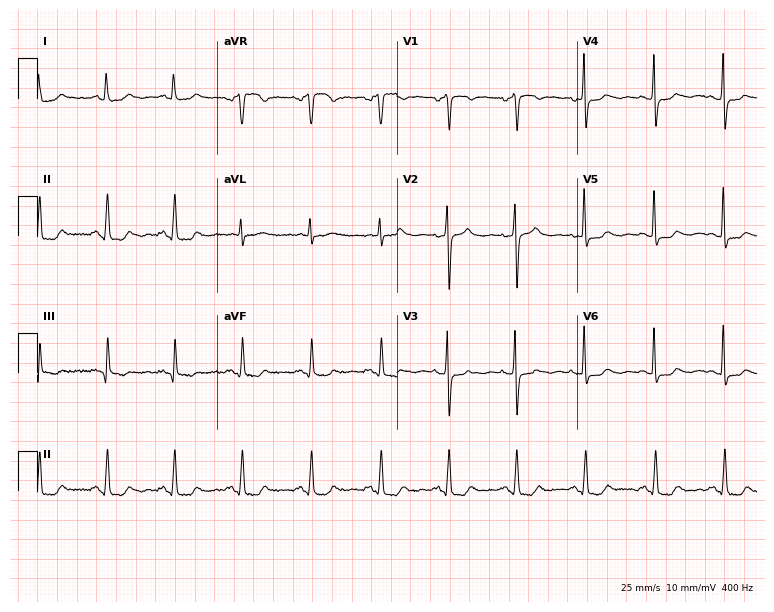
Resting 12-lead electrocardiogram. Patient: a 68-year-old female. None of these six findings is recorded: first-degree AV block, right bundle branch block, left bundle branch block, sinus bradycardia, atrial fibrillation, sinus tachycardia.